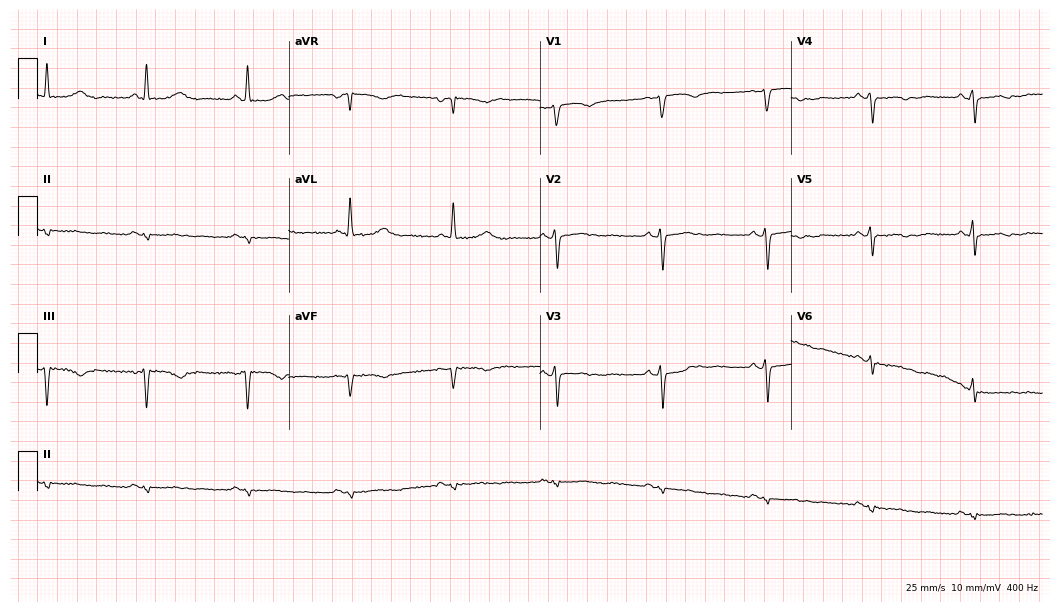
Electrocardiogram (10.2-second recording at 400 Hz), a female patient, 76 years old. Of the six screened findings (first-degree AV block, right bundle branch block, left bundle branch block, sinus bradycardia, atrial fibrillation, sinus tachycardia), none is recorded.